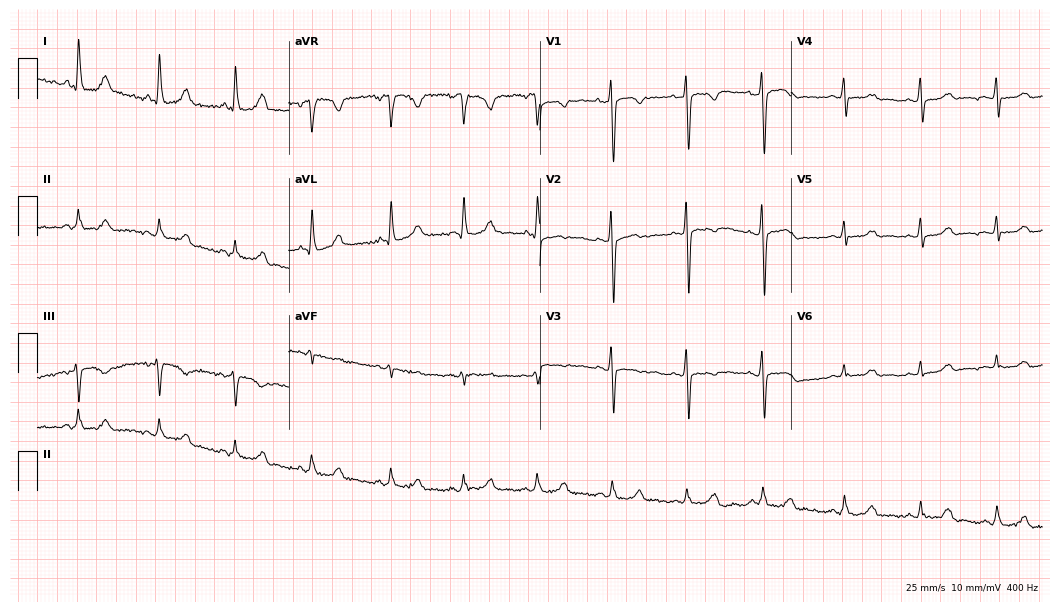
12-lead ECG from a 36-year-old woman (10.2-second recording at 400 Hz). Recorded interpretation: within normal limits.